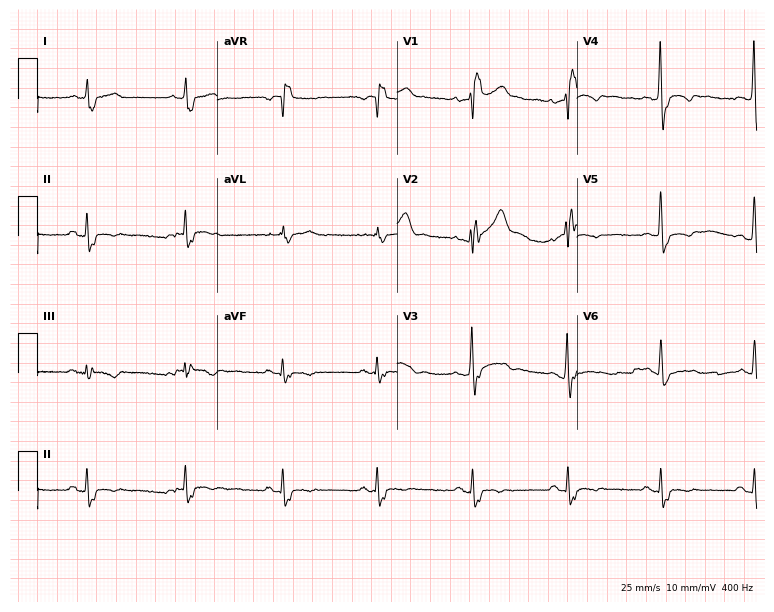
Standard 12-lead ECG recorded from a 48-year-old male. The tracing shows right bundle branch block.